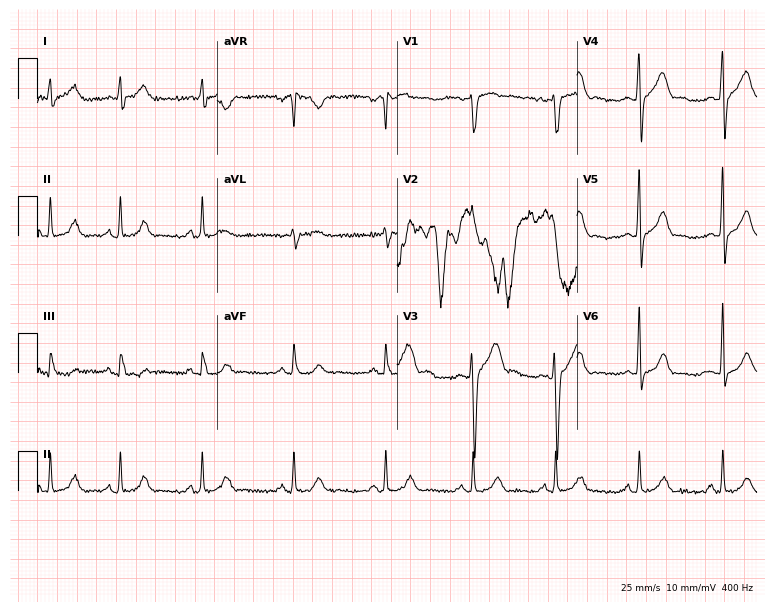
12-lead ECG (7.3-second recording at 400 Hz) from a man, 24 years old. Screened for six findings — first-degree AV block, right bundle branch block, left bundle branch block, sinus bradycardia, atrial fibrillation, sinus tachycardia — none is recorded. Other findings, if any, are not listed.